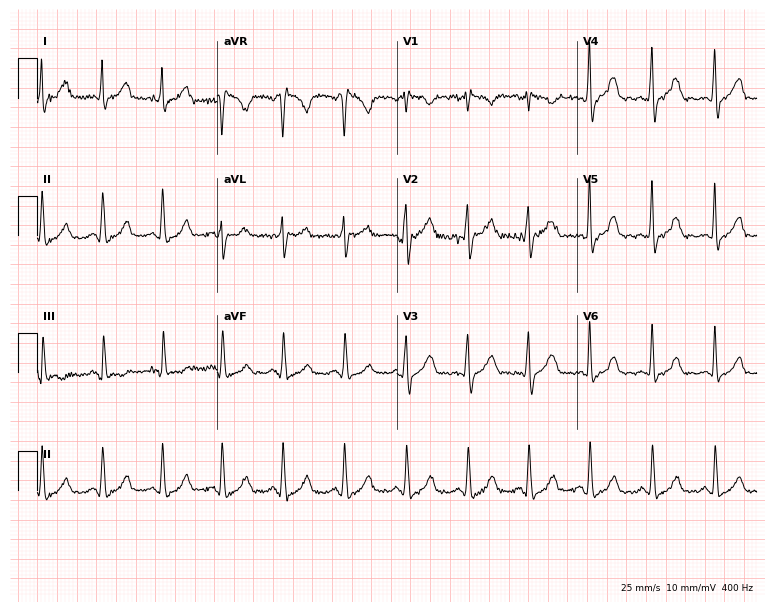
Electrocardiogram, a 43-year-old female. Overall reading on record: normal ECG.